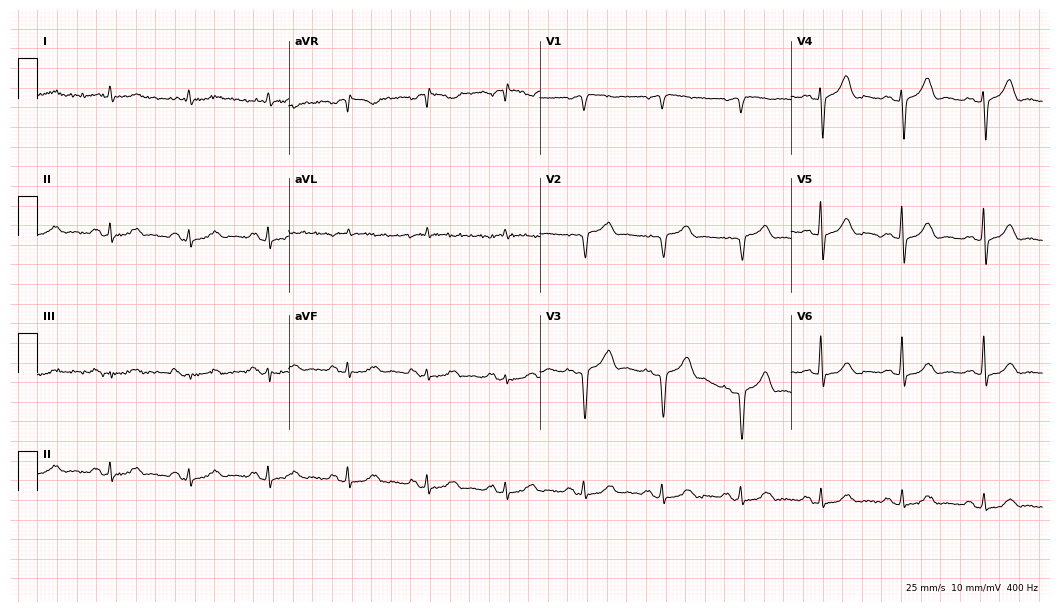
ECG — a male, 80 years old. Screened for six findings — first-degree AV block, right bundle branch block (RBBB), left bundle branch block (LBBB), sinus bradycardia, atrial fibrillation (AF), sinus tachycardia — none is recorded. Only these six findings were labelled.